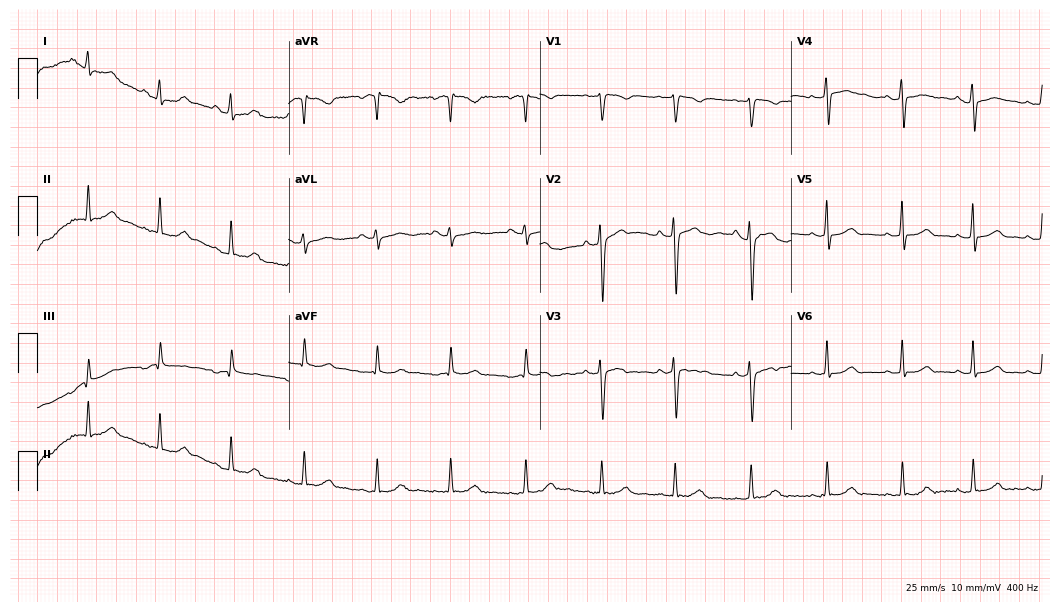
ECG — a female patient, 19 years old. Labelled as a normal ECG.